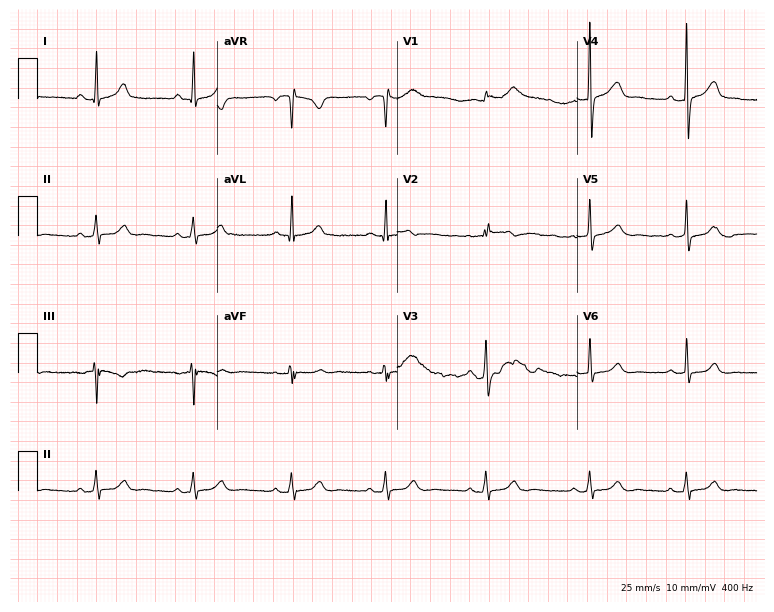
ECG — a 36-year-old female patient. Screened for six findings — first-degree AV block, right bundle branch block, left bundle branch block, sinus bradycardia, atrial fibrillation, sinus tachycardia — none is recorded. Other findings, if any, are not listed.